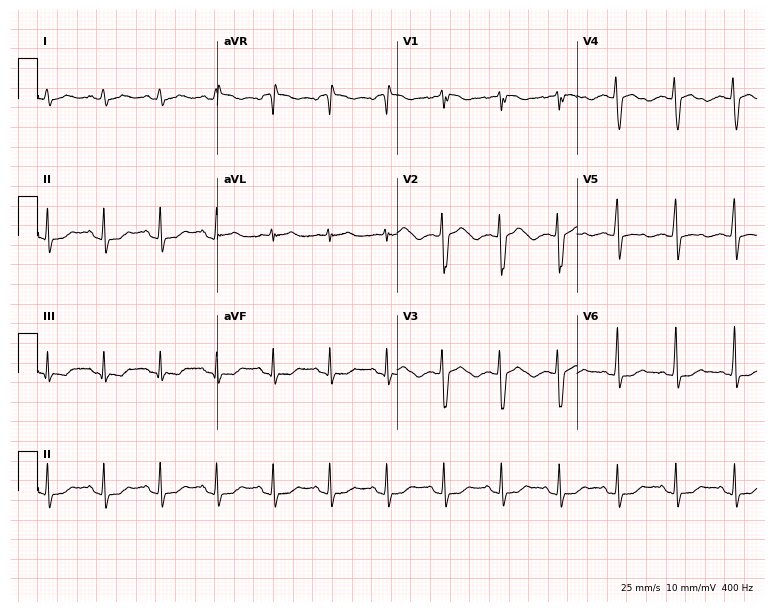
Standard 12-lead ECG recorded from a 30-year-old female (7.3-second recording at 400 Hz). The tracing shows sinus tachycardia (a sinus rate of 100 beats per minute or more).